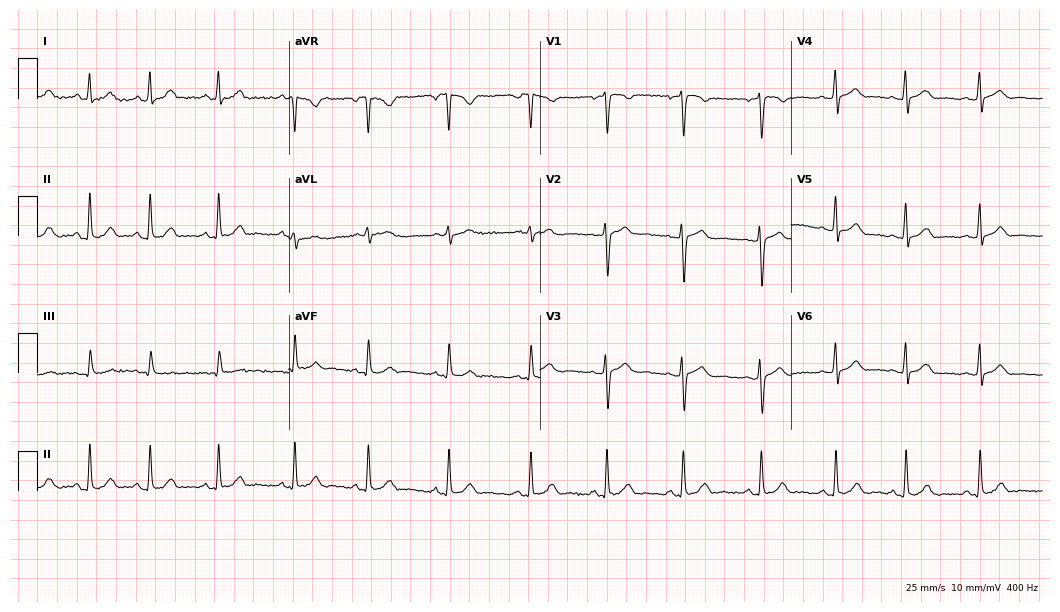
Standard 12-lead ECG recorded from a 24-year-old woman. Read as a normal ECG.